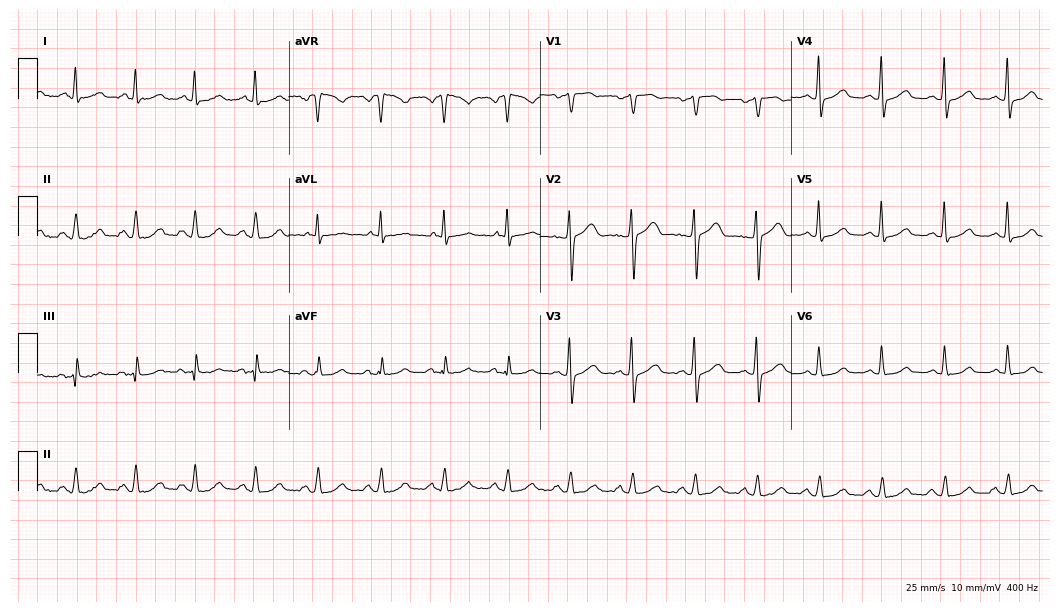
Resting 12-lead electrocardiogram. Patient: a female, 58 years old. None of these six findings is recorded: first-degree AV block, right bundle branch block (RBBB), left bundle branch block (LBBB), sinus bradycardia, atrial fibrillation (AF), sinus tachycardia.